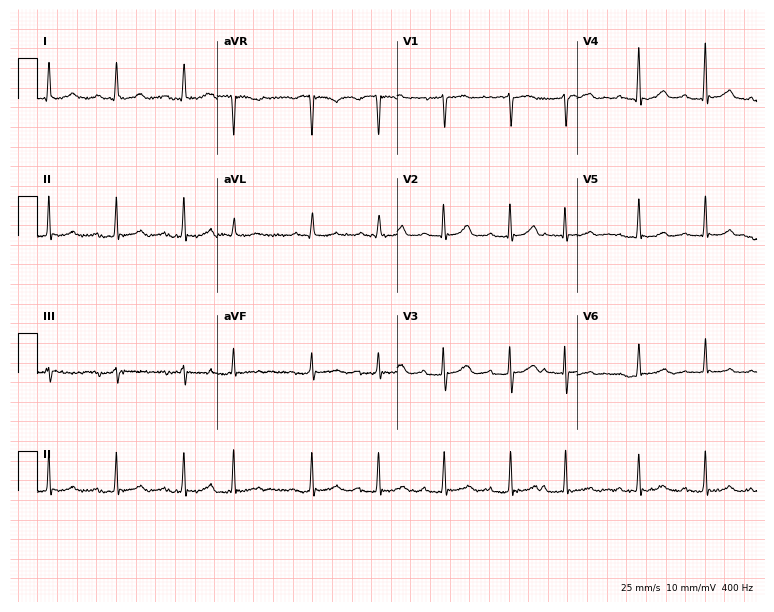
12-lead ECG from a female patient, 78 years old. Screened for six findings — first-degree AV block, right bundle branch block, left bundle branch block, sinus bradycardia, atrial fibrillation, sinus tachycardia — none is recorded.